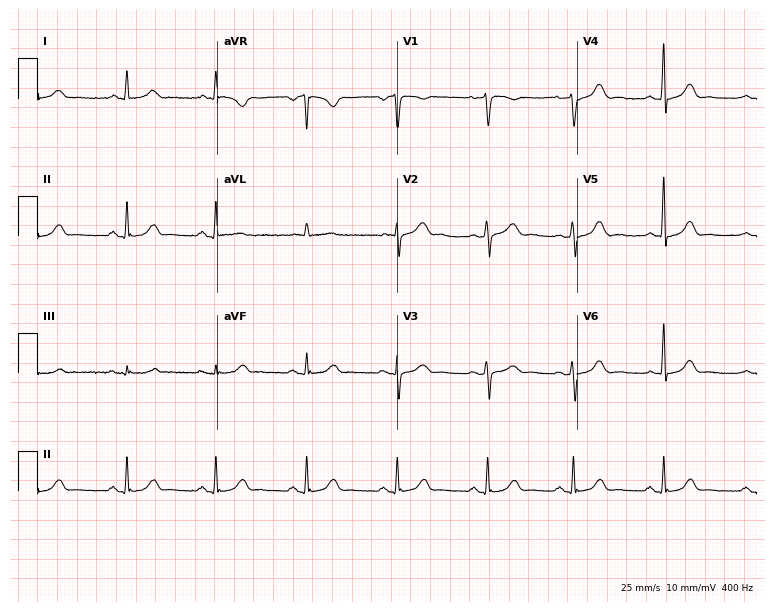
Electrocardiogram, a 52-year-old woman. Overall reading on record: normal ECG.